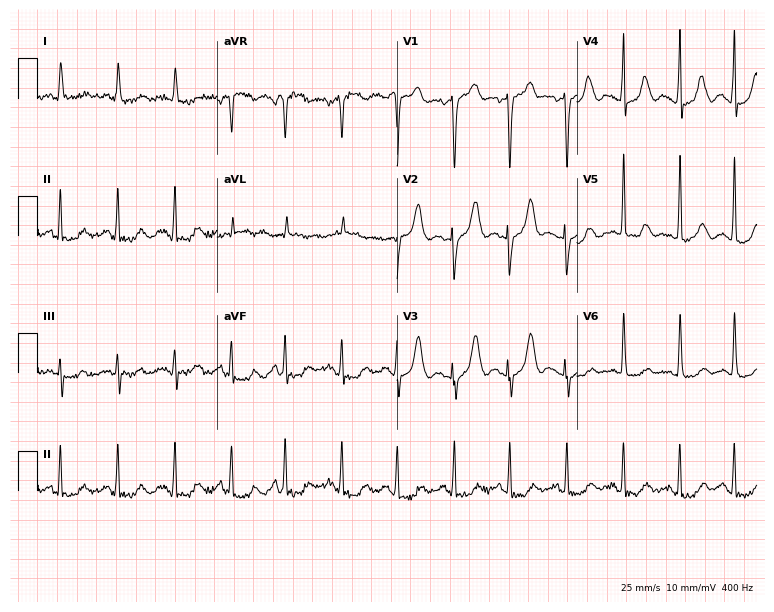
ECG — a female patient, 80 years old. Findings include sinus tachycardia (a sinus rate of 100 beats per minute or more).